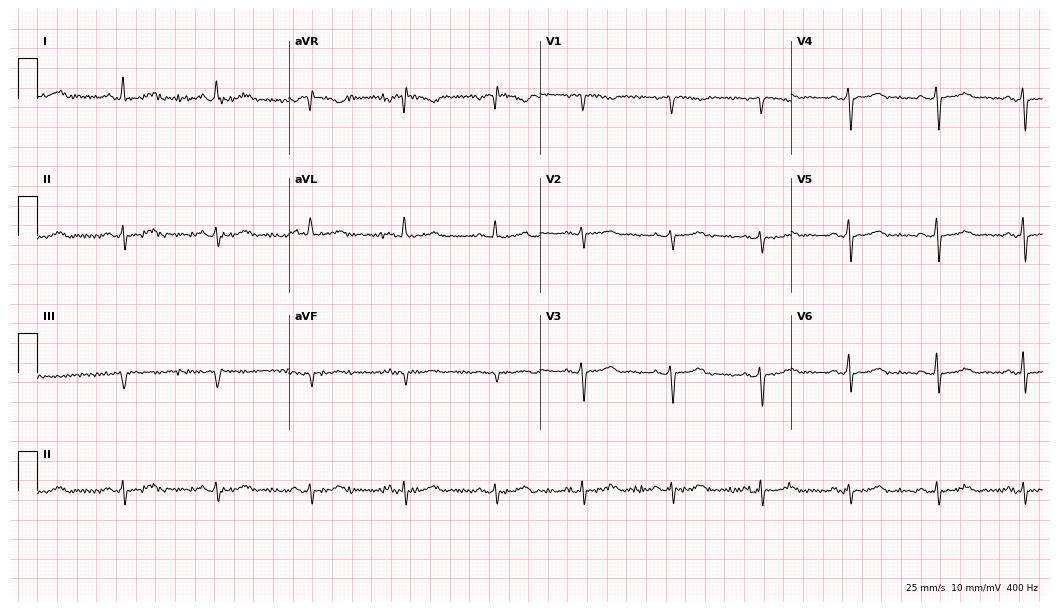
Standard 12-lead ECG recorded from a woman, 47 years old. None of these six findings is recorded: first-degree AV block, right bundle branch block, left bundle branch block, sinus bradycardia, atrial fibrillation, sinus tachycardia. Findings outside these six are not listed.